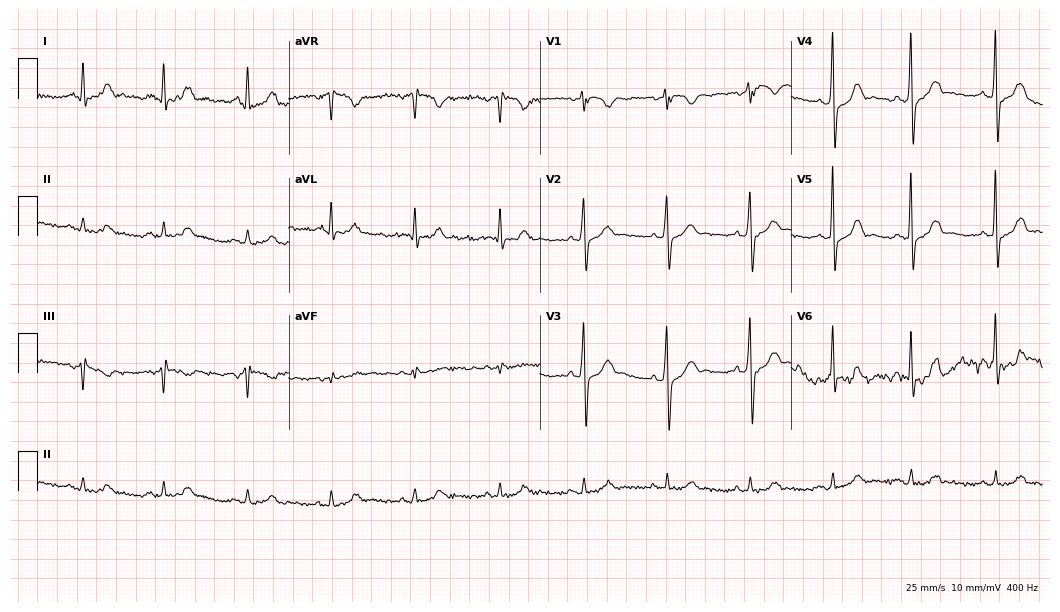
12-lead ECG from a 69-year-old male patient (10.2-second recording at 400 Hz). No first-degree AV block, right bundle branch block (RBBB), left bundle branch block (LBBB), sinus bradycardia, atrial fibrillation (AF) or sinus tachycardia recorded for this tracing.